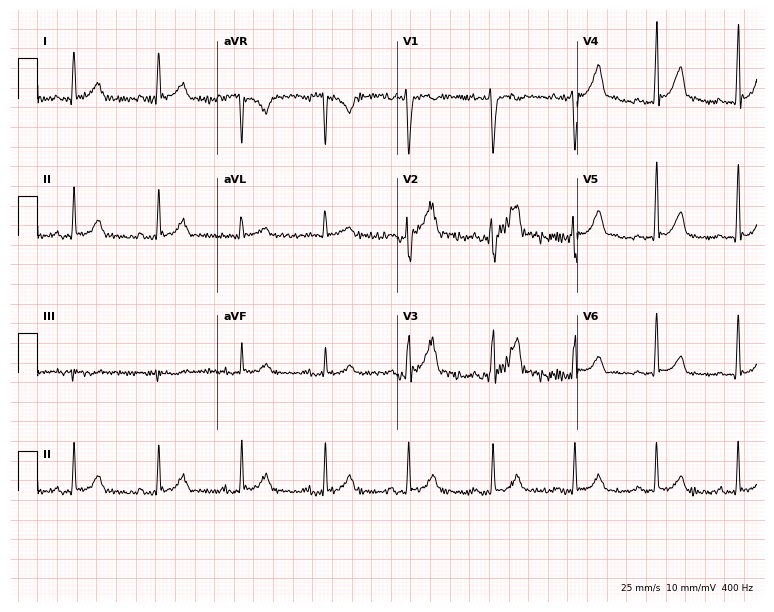
Electrocardiogram, a male patient, 26 years old. Overall reading on record: normal ECG.